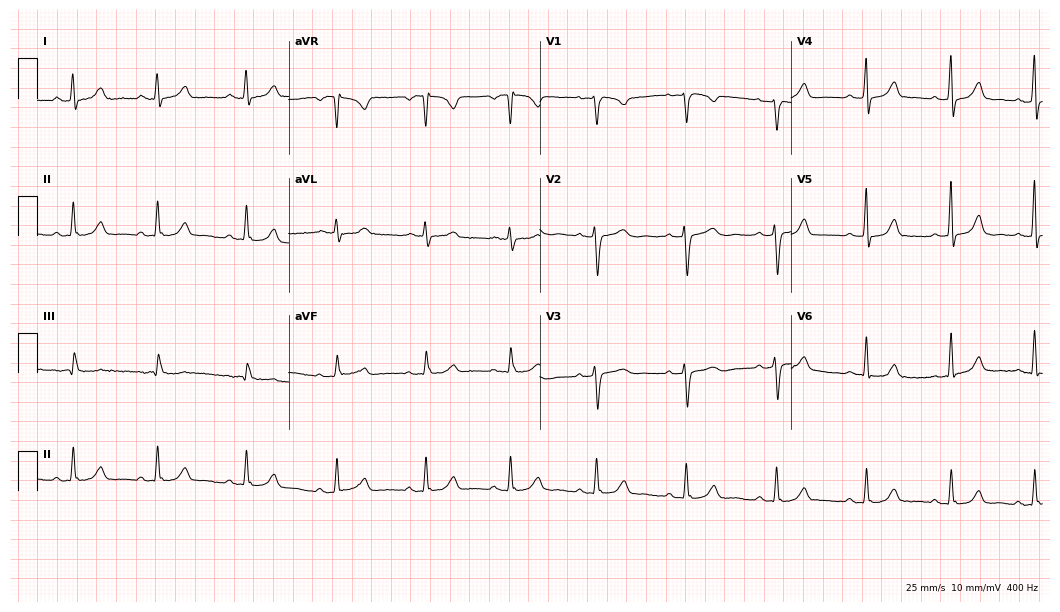
Resting 12-lead electrocardiogram (10.2-second recording at 400 Hz). Patient: a 40-year-old female. Read as a normal ECG.